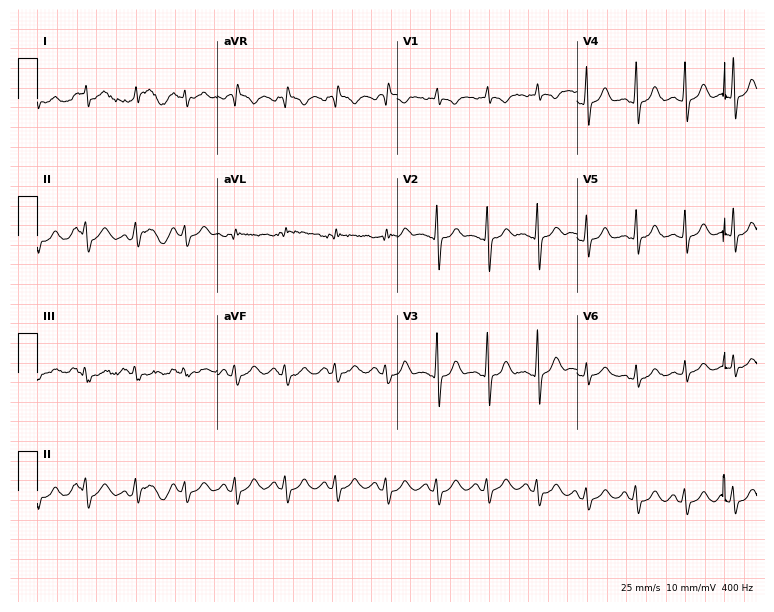
Resting 12-lead electrocardiogram (7.3-second recording at 400 Hz). Patient: a woman, 23 years old. None of these six findings is recorded: first-degree AV block, right bundle branch block, left bundle branch block, sinus bradycardia, atrial fibrillation, sinus tachycardia.